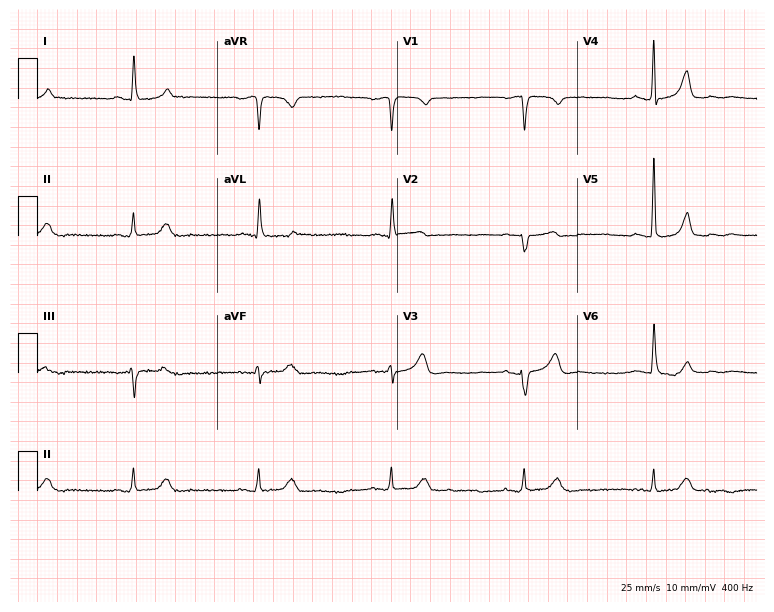
Resting 12-lead electrocardiogram. Patient: a woman, 66 years old. The tracing shows sinus bradycardia (a sinus rate of 50 beats per minute or less).